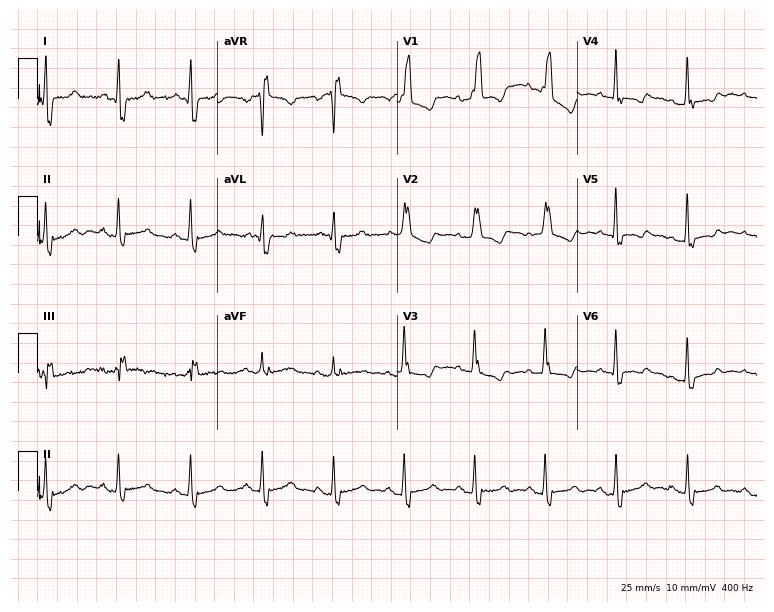
ECG — a 56-year-old female patient. Findings include right bundle branch block (RBBB).